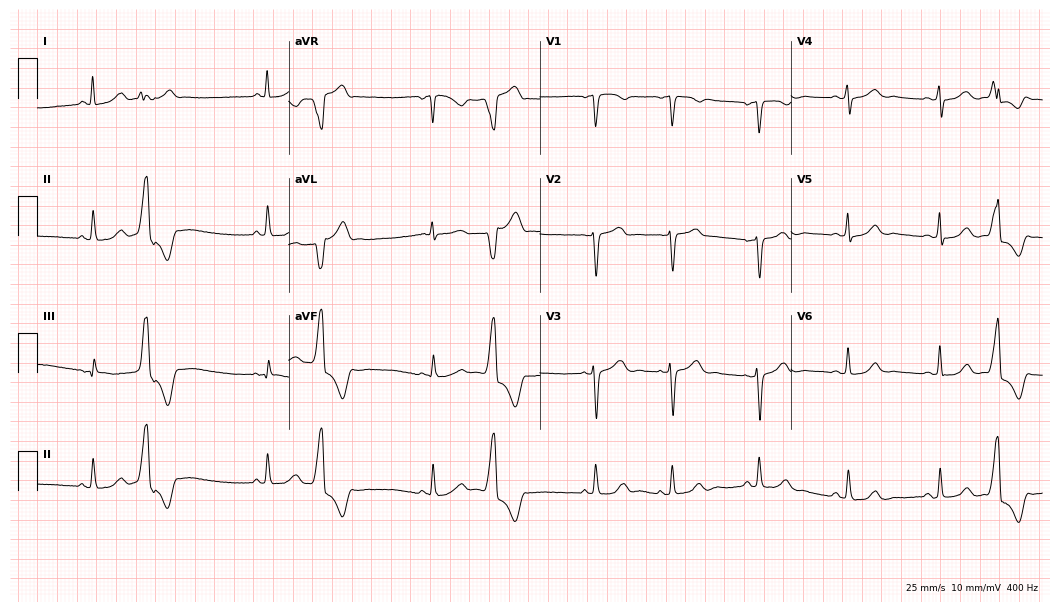
Electrocardiogram (10.2-second recording at 400 Hz), a 33-year-old female patient. Of the six screened findings (first-degree AV block, right bundle branch block, left bundle branch block, sinus bradycardia, atrial fibrillation, sinus tachycardia), none is recorded.